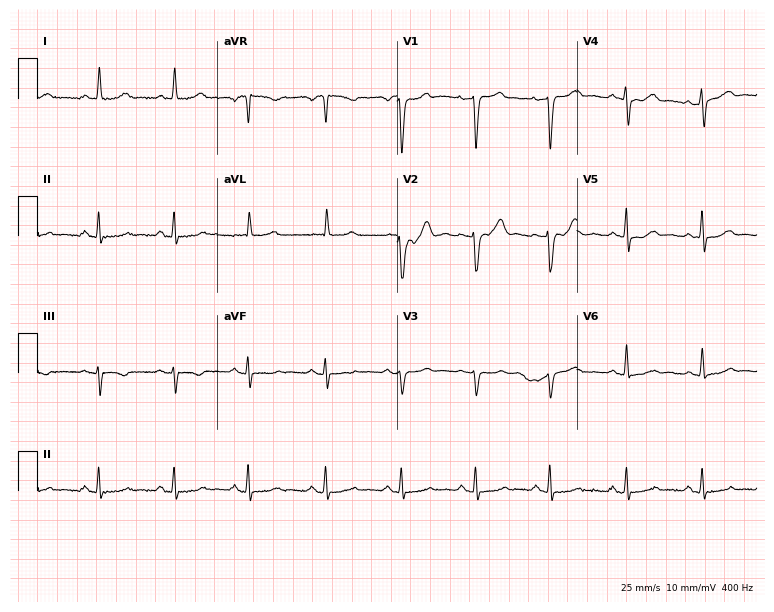
Electrocardiogram, a 58-year-old female. Of the six screened findings (first-degree AV block, right bundle branch block (RBBB), left bundle branch block (LBBB), sinus bradycardia, atrial fibrillation (AF), sinus tachycardia), none is recorded.